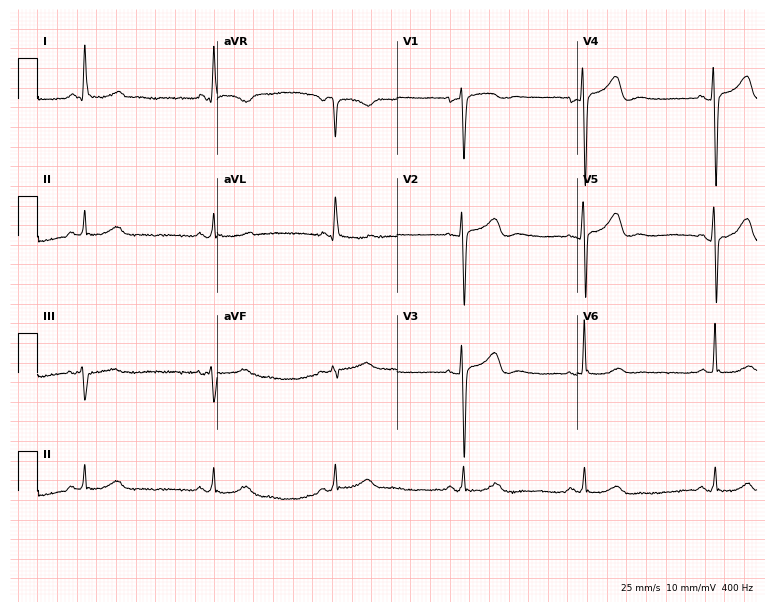
Standard 12-lead ECG recorded from a 66-year-old female. The tracing shows sinus bradycardia (a sinus rate of 50 beats per minute or less).